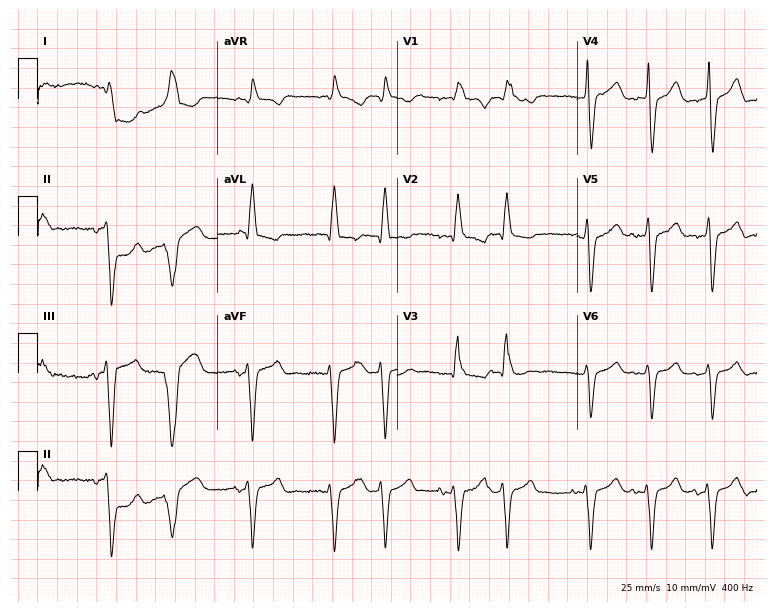
12-lead ECG from an 83-year-old male patient. Shows right bundle branch block (RBBB).